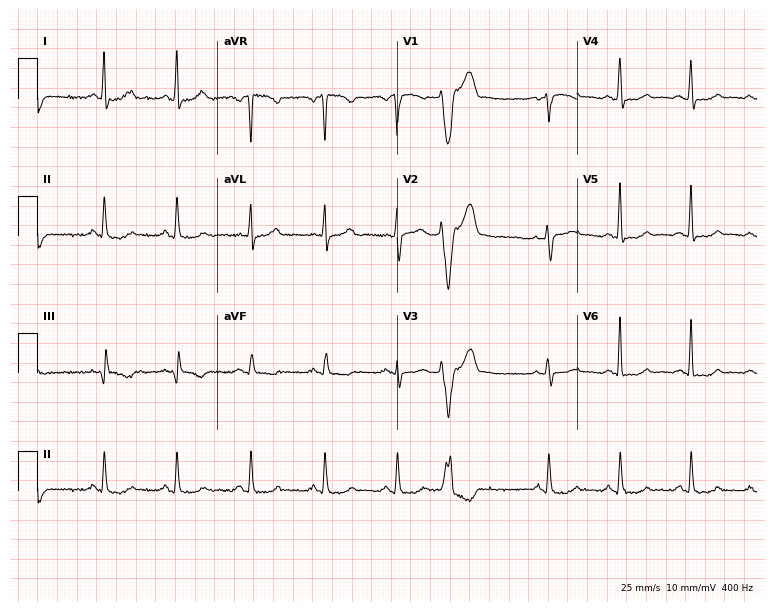
ECG — a 55-year-old female patient. Labelled as a normal ECG.